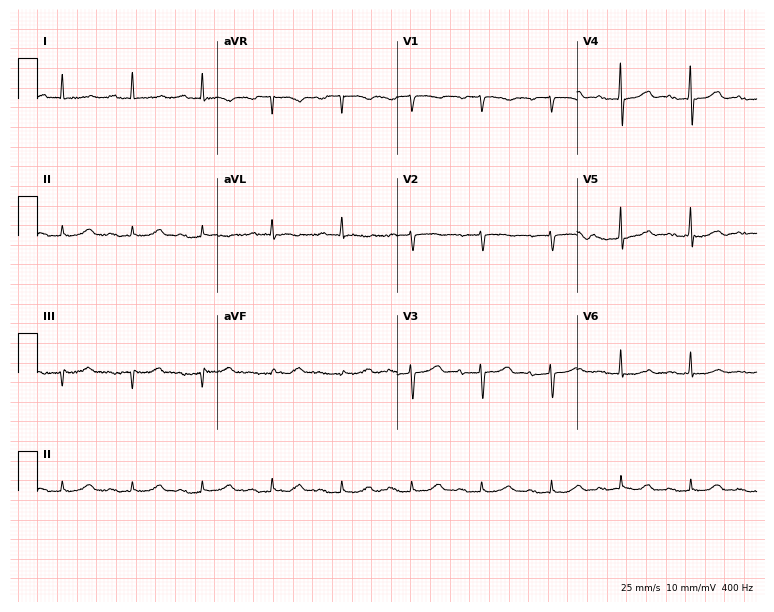
12-lead ECG (7.3-second recording at 400 Hz) from an 83-year-old female. Labelled as a normal ECG.